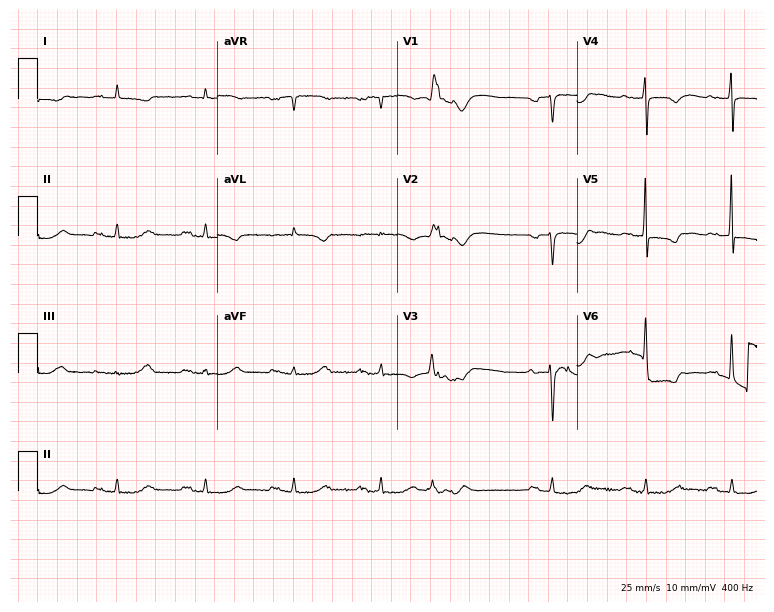
12-lead ECG from a female patient, 82 years old (7.3-second recording at 400 Hz). Shows first-degree AV block.